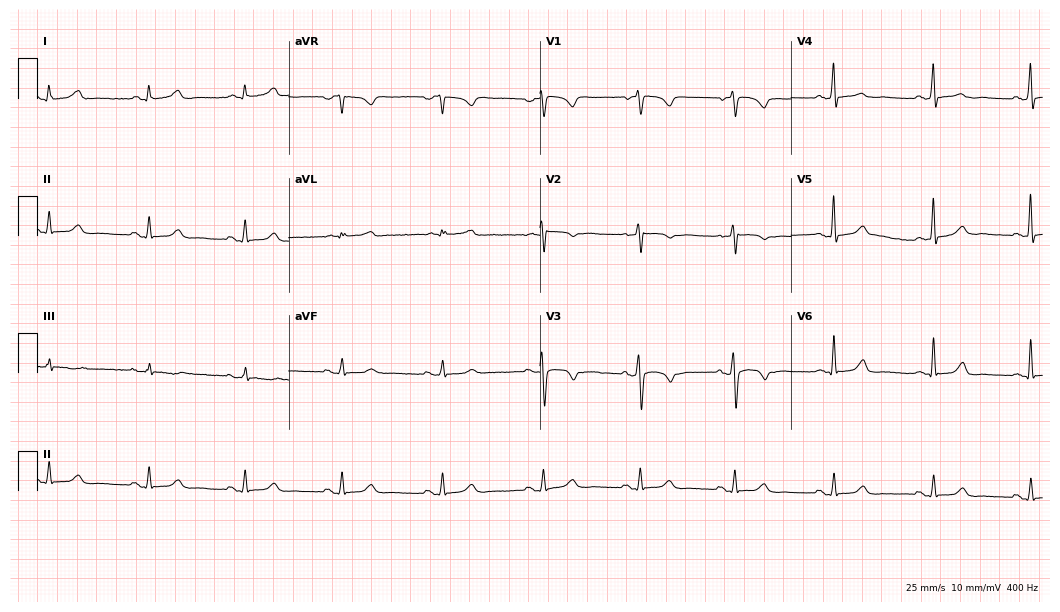
12-lead ECG from a female, 52 years old. Labelled as a normal ECG.